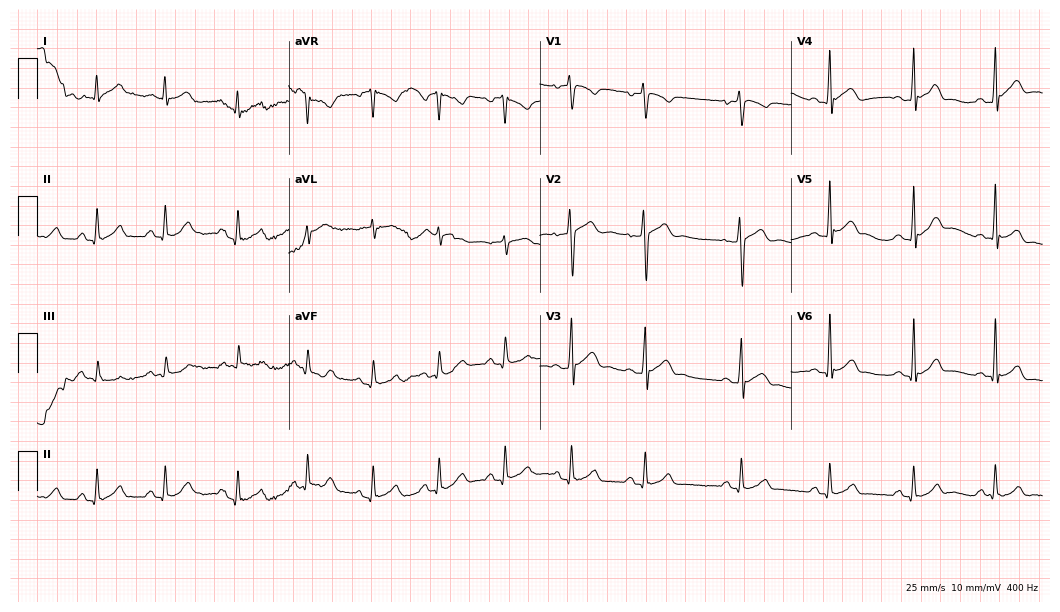
ECG (10.2-second recording at 400 Hz) — a 25-year-old man. Screened for six findings — first-degree AV block, right bundle branch block (RBBB), left bundle branch block (LBBB), sinus bradycardia, atrial fibrillation (AF), sinus tachycardia — none is recorded. Findings outside these six are not listed.